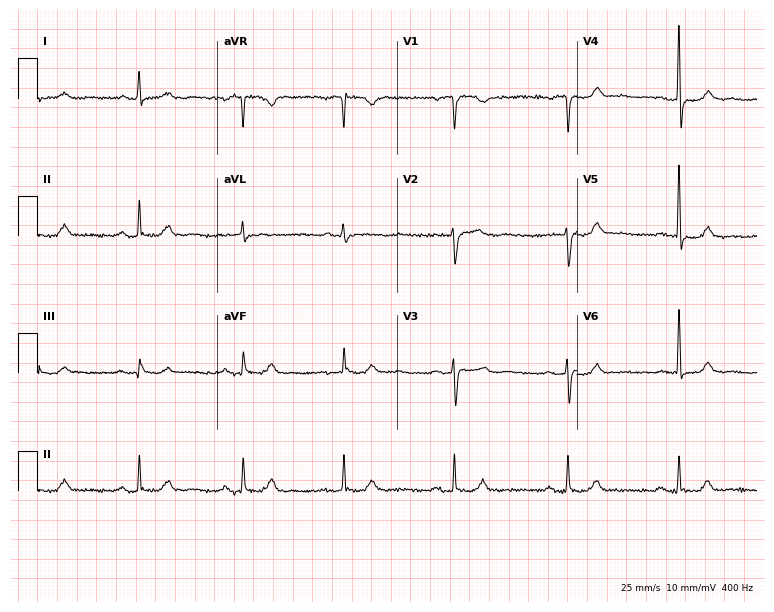
12-lead ECG (7.3-second recording at 400 Hz) from a 46-year-old woman. Screened for six findings — first-degree AV block, right bundle branch block, left bundle branch block, sinus bradycardia, atrial fibrillation, sinus tachycardia — none is recorded.